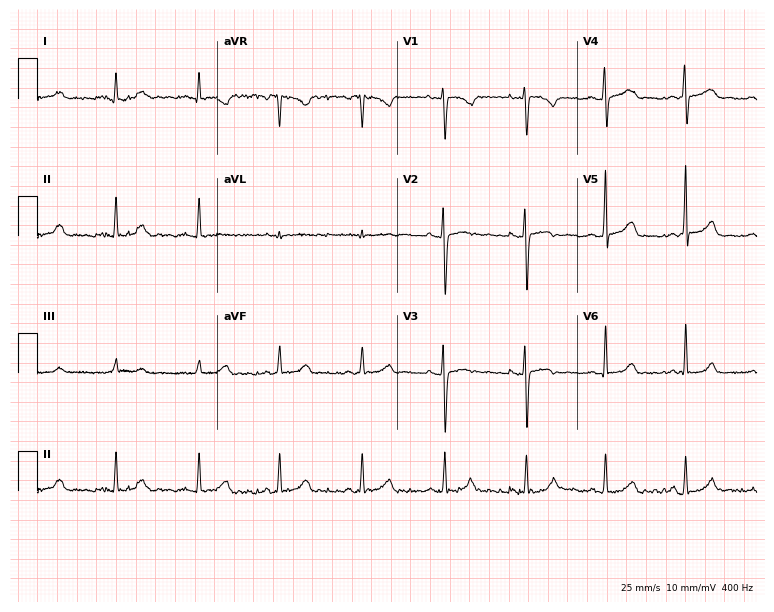
ECG — a 35-year-old woman. Screened for six findings — first-degree AV block, right bundle branch block, left bundle branch block, sinus bradycardia, atrial fibrillation, sinus tachycardia — none is recorded.